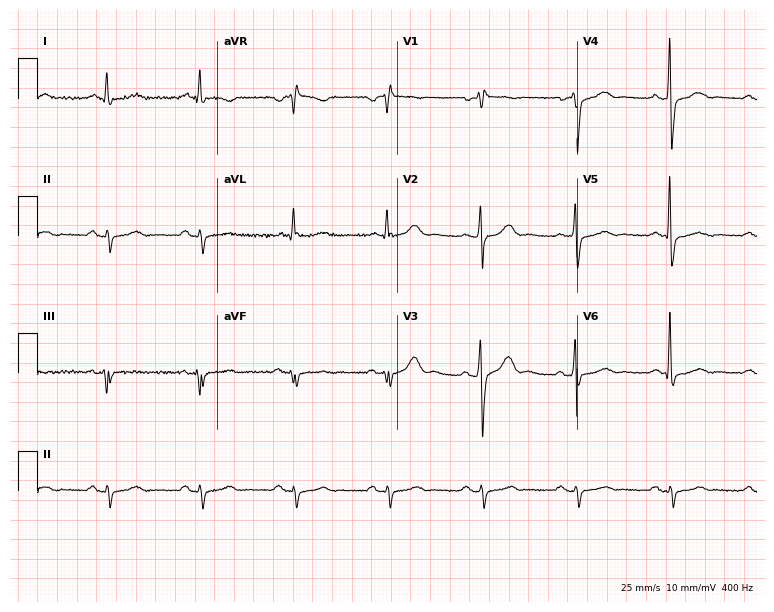
Electrocardiogram, a male patient, 71 years old. Of the six screened findings (first-degree AV block, right bundle branch block, left bundle branch block, sinus bradycardia, atrial fibrillation, sinus tachycardia), none is recorded. Only these six findings were labelled.